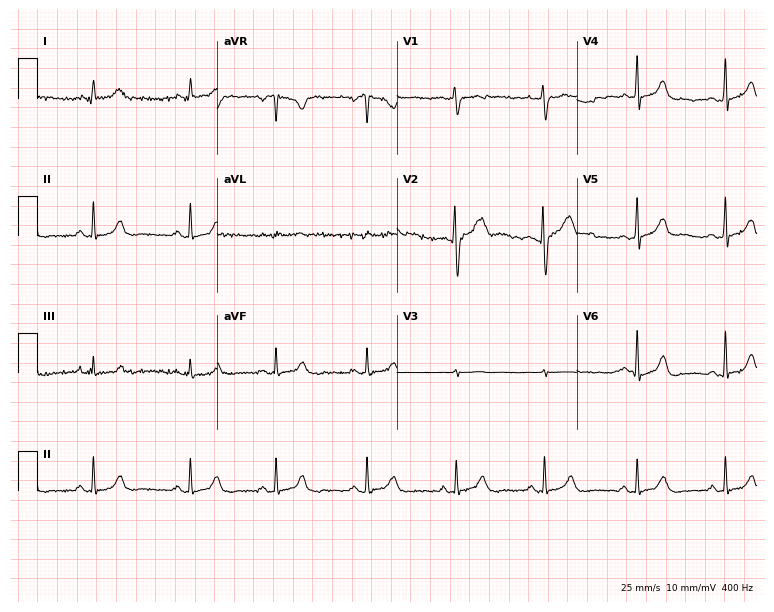
Electrocardiogram (7.3-second recording at 400 Hz), a female, 30 years old. Overall reading on record: normal ECG.